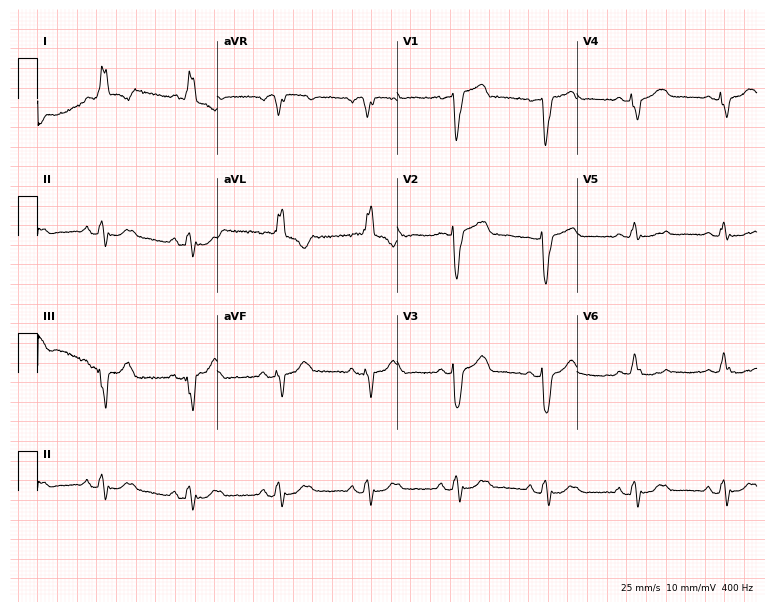
ECG — a female, 80 years old. Findings include left bundle branch block (LBBB).